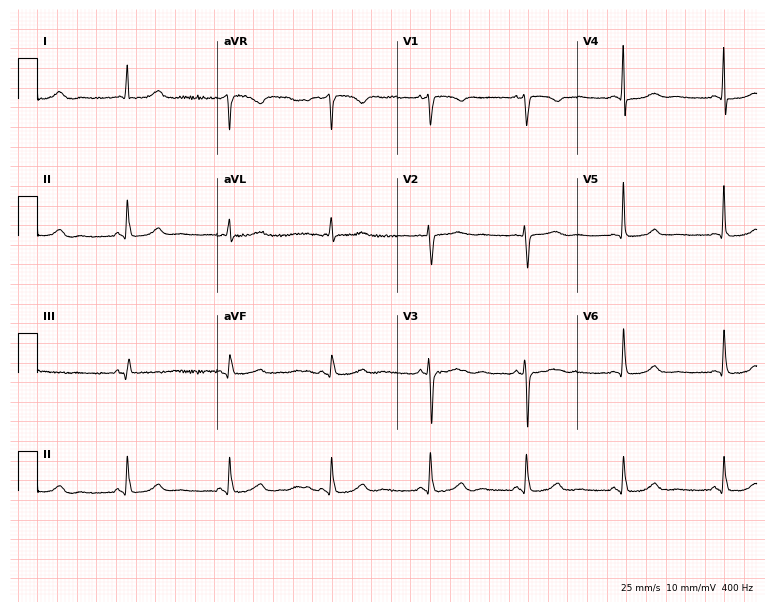
Resting 12-lead electrocardiogram (7.3-second recording at 400 Hz). Patient: a female, 79 years old. None of these six findings is recorded: first-degree AV block, right bundle branch block, left bundle branch block, sinus bradycardia, atrial fibrillation, sinus tachycardia.